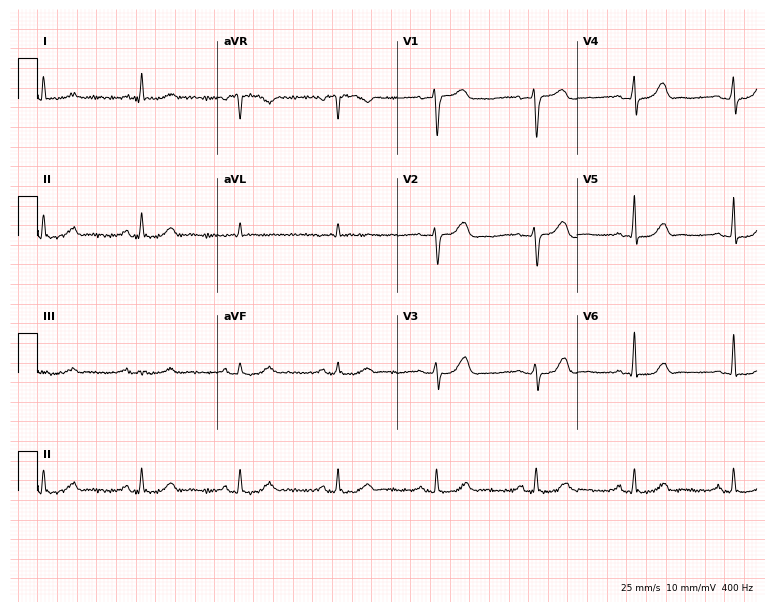
Resting 12-lead electrocardiogram. Patient: a 62-year-old female. Read as a normal ECG.